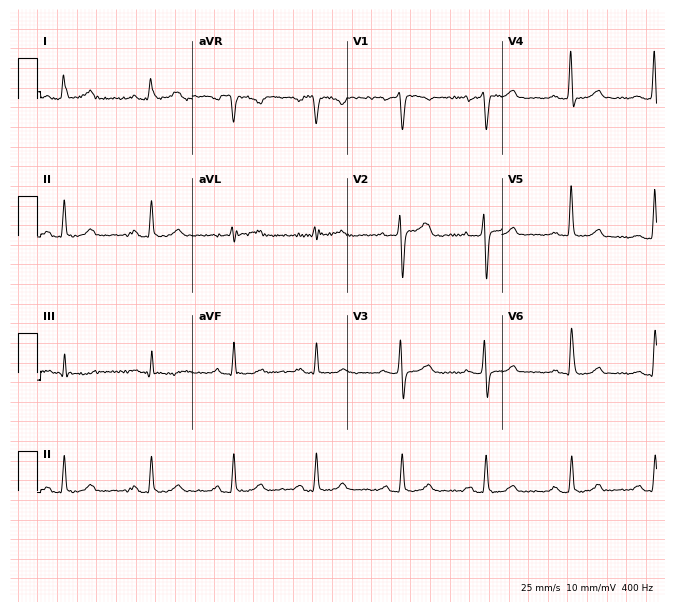
Standard 12-lead ECG recorded from a 44-year-old woman (6.3-second recording at 400 Hz). Read as a normal ECG.